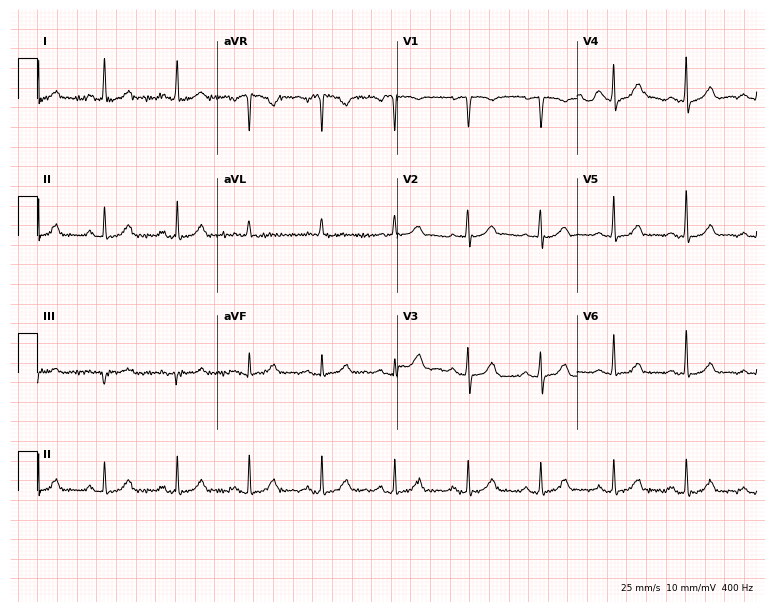
Resting 12-lead electrocardiogram (7.3-second recording at 400 Hz). Patient: a 67-year-old woman. Read as a normal ECG.